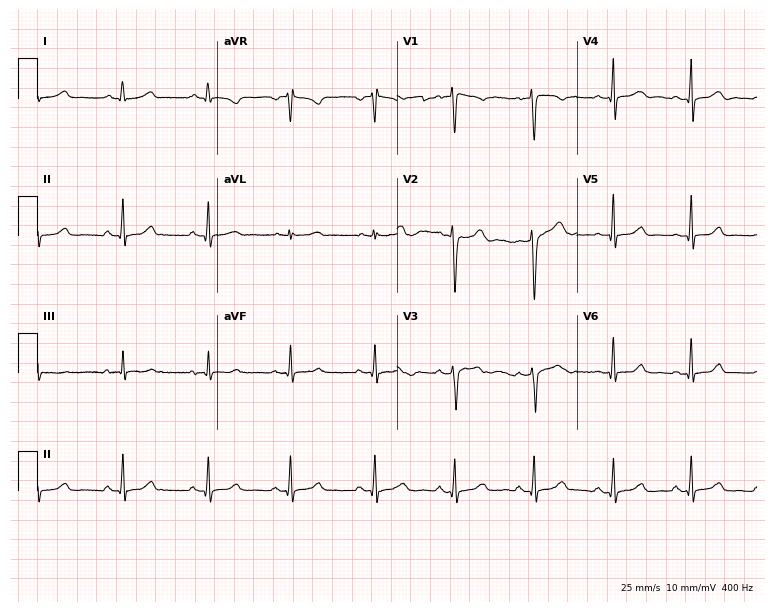
ECG — a female, 50 years old. Screened for six findings — first-degree AV block, right bundle branch block, left bundle branch block, sinus bradycardia, atrial fibrillation, sinus tachycardia — none is recorded.